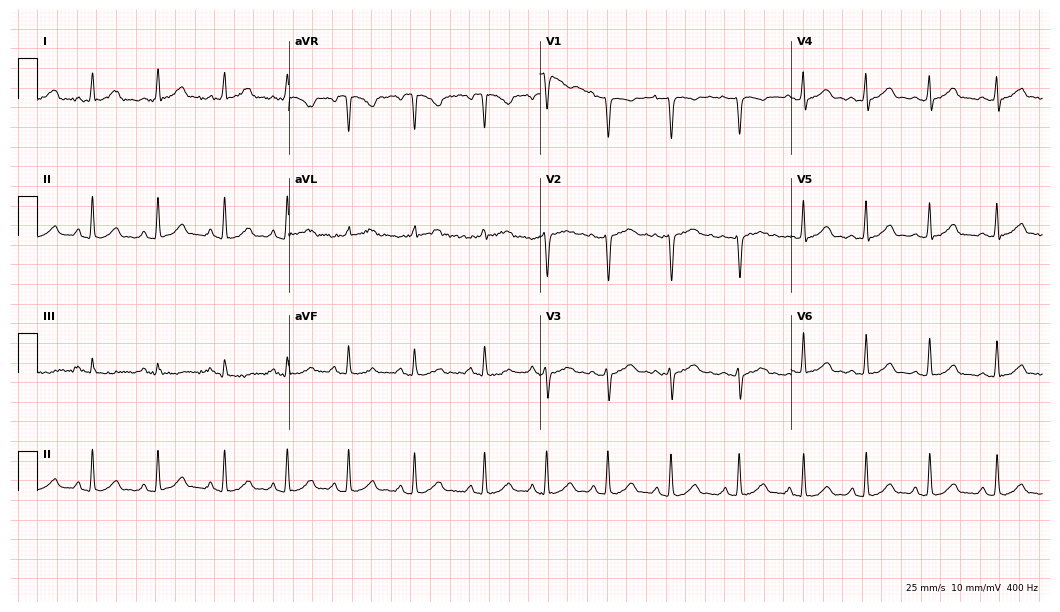
Electrocardiogram, a 26-year-old female patient. Overall reading on record: normal ECG.